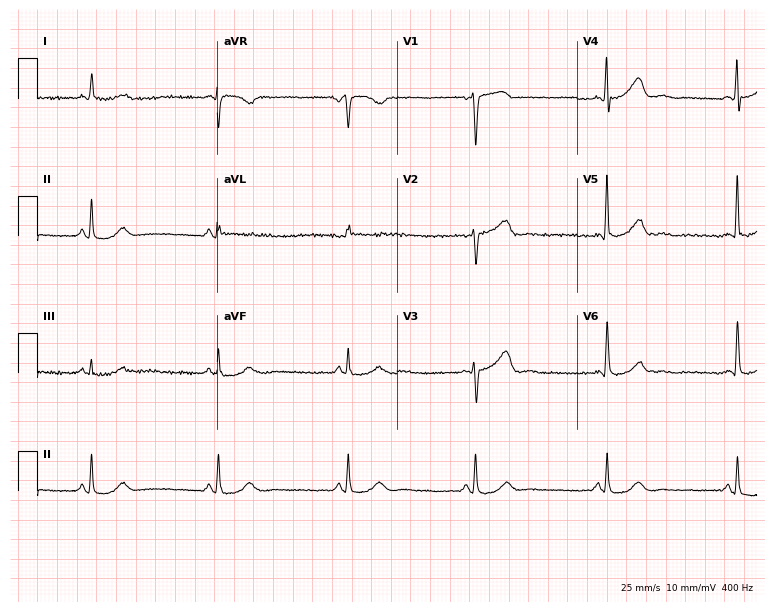
ECG (7.3-second recording at 400 Hz) — a man, 75 years old. Findings include sinus bradycardia (a sinus rate of 50 beats per minute or less).